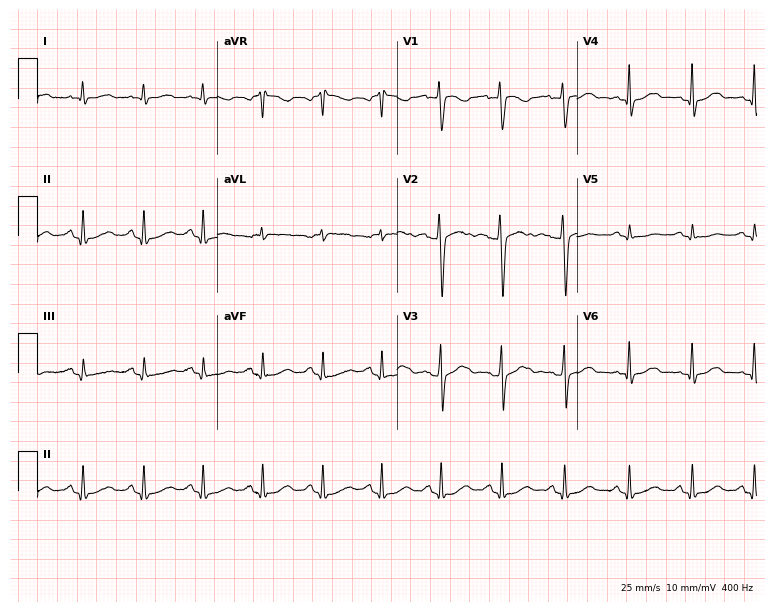
ECG — a 29-year-old female patient. Screened for six findings — first-degree AV block, right bundle branch block (RBBB), left bundle branch block (LBBB), sinus bradycardia, atrial fibrillation (AF), sinus tachycardia — none is recorded.